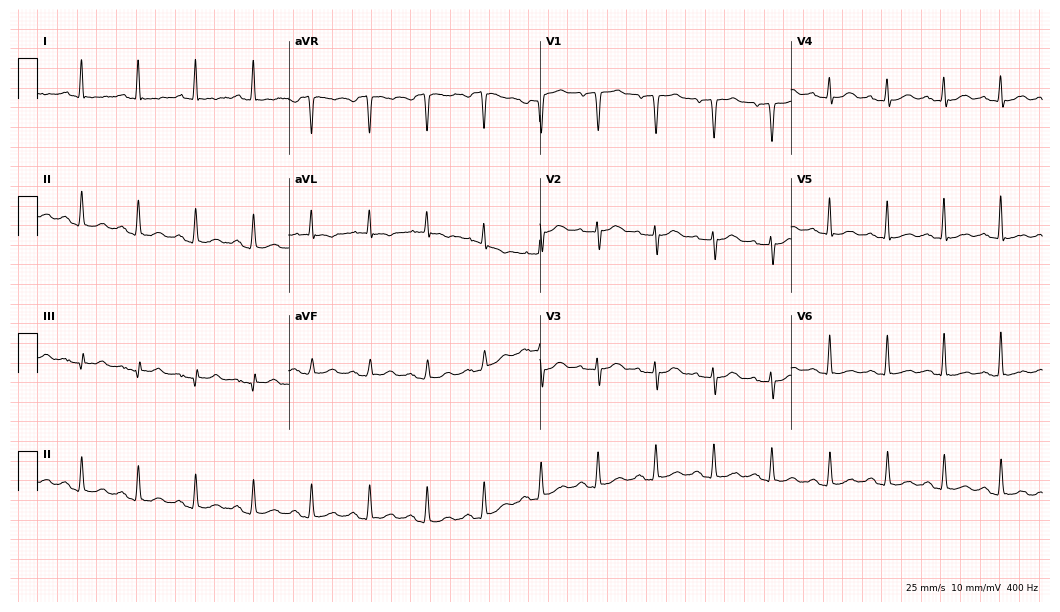
Electrocardiogram, a 61-year-old man. Interpretation includes sinus tachycardia (a sinus rate of 100 beats per minute or more).